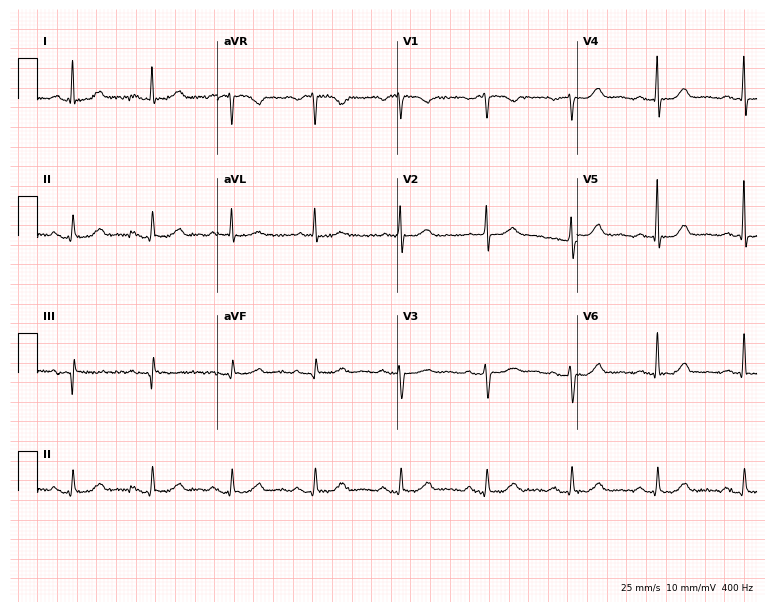
Resting 12-lead electrocardiogram (7.3-second recording at 400 Hz). Patient: a female, 65 years old. None of these six findings is recorded: first-degree AV block, right bundle branch block, left bundle branch block, sinus bradycardia, atrial fibrillation, sinus tachycardia.